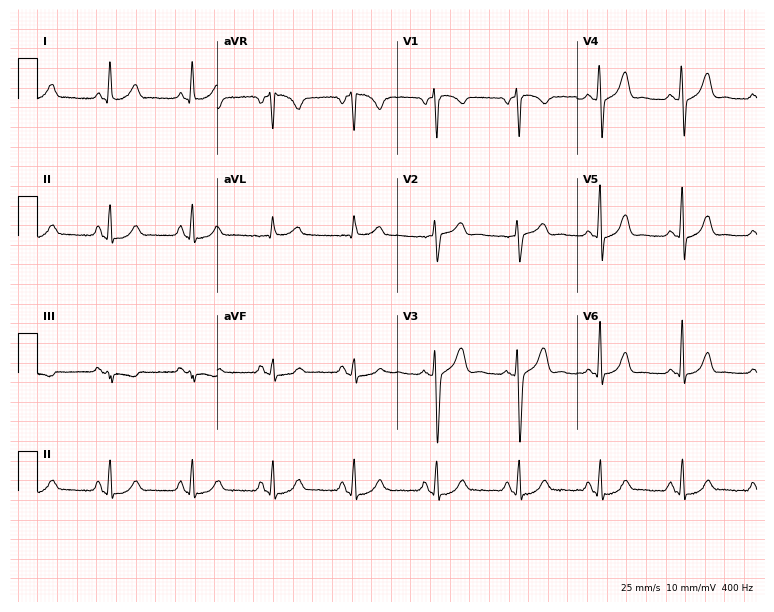
12-lead ECG (7.3-second recording at 400 Hz) from a female patient, 39 years old. Screened for six findings — first-degree AV block, right bundle branch block (RBBB), left bundle branch block (LBBB), sinus bradycardia, atrial fibrillation (AF), sinus tachycardia — none is recorded. Other findings, if any, are not listed.